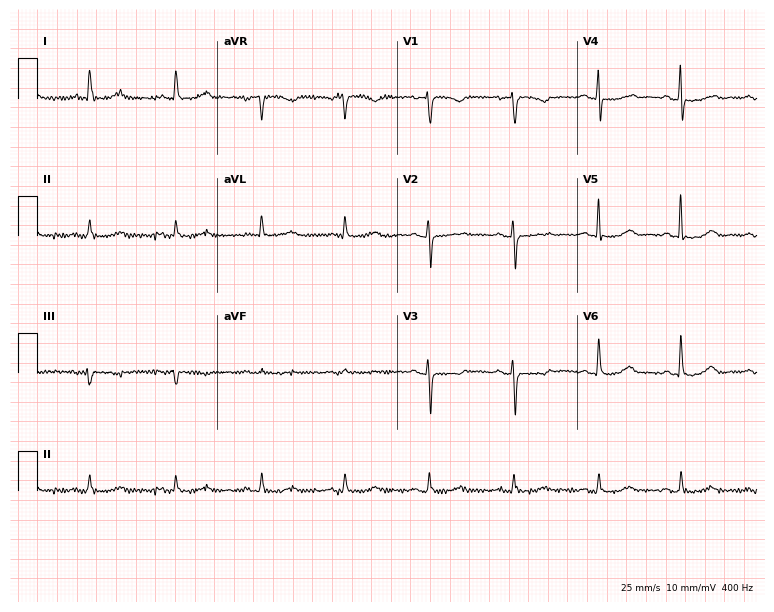
ECG — a female, 64 years old. Screened for six findings — first-degree AV block, right bundle branch block (RBBB), left bundle branch block (LBBB), sinus bradycardia, atrial fibrillation (AF), sinus tachycardia — none is recorded.